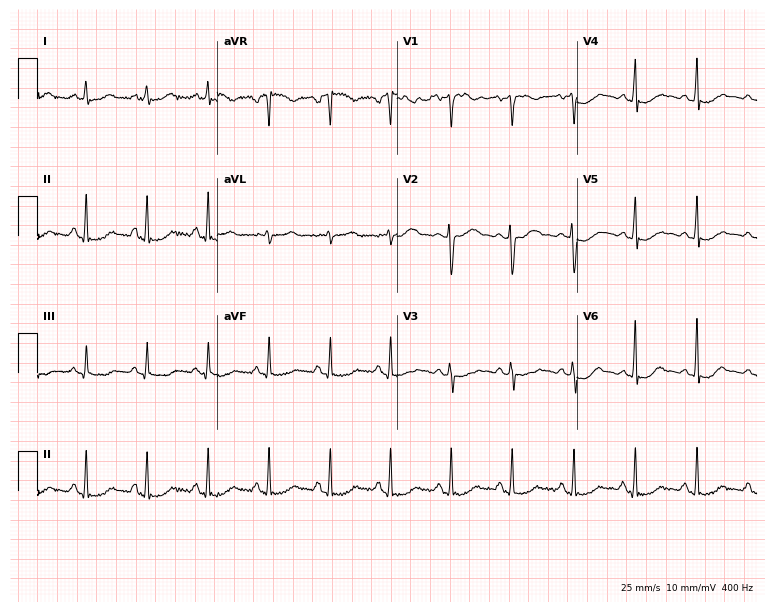
Standard 12-lead ECG recorded from a 32-year-old woman (7.3-second recording at 400 Hz). Read as a normal ECG.